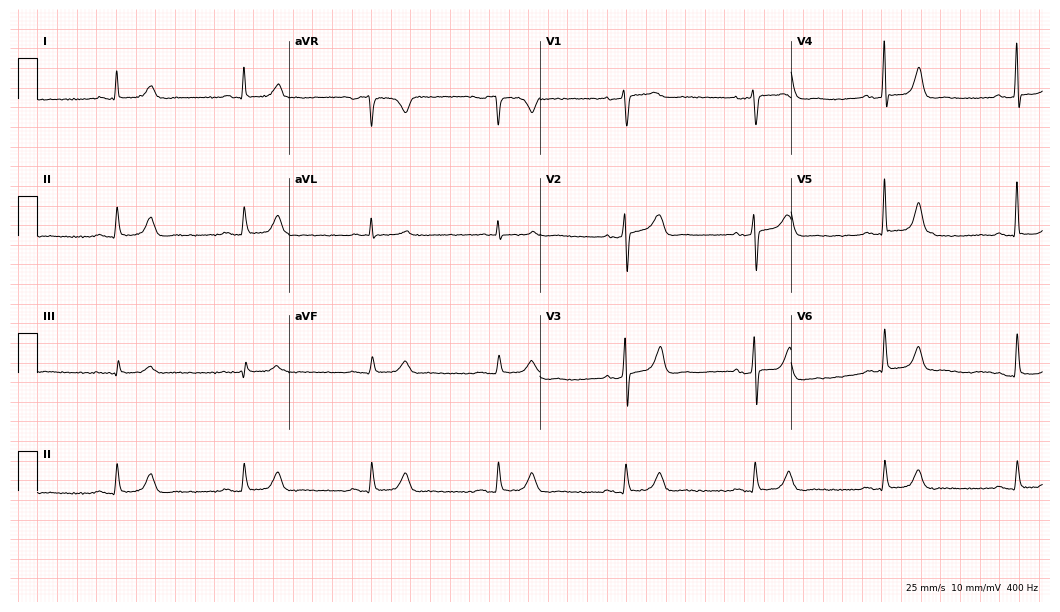
Electrocardiogram (10.2-second recording at 400 Hz), a male patient, 68 years old. Of the six screened findings (first-degree AV block, right bundle branch block (RBBB), left bundle branch block (LBBB), sinus bradycardia, atrial fibrillation (AF), sinus tachycardia), none is recorded.